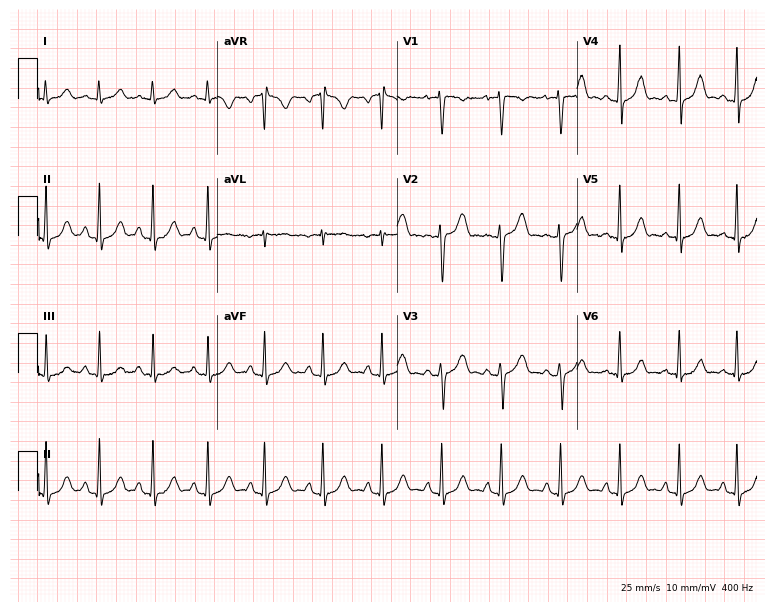
Electrocardiogram (7.3-second recording at 400 Hz), a 20-year-old male. Interpretation includes sinus tachycardia (a sinus rate of 100 beats per minute or more).